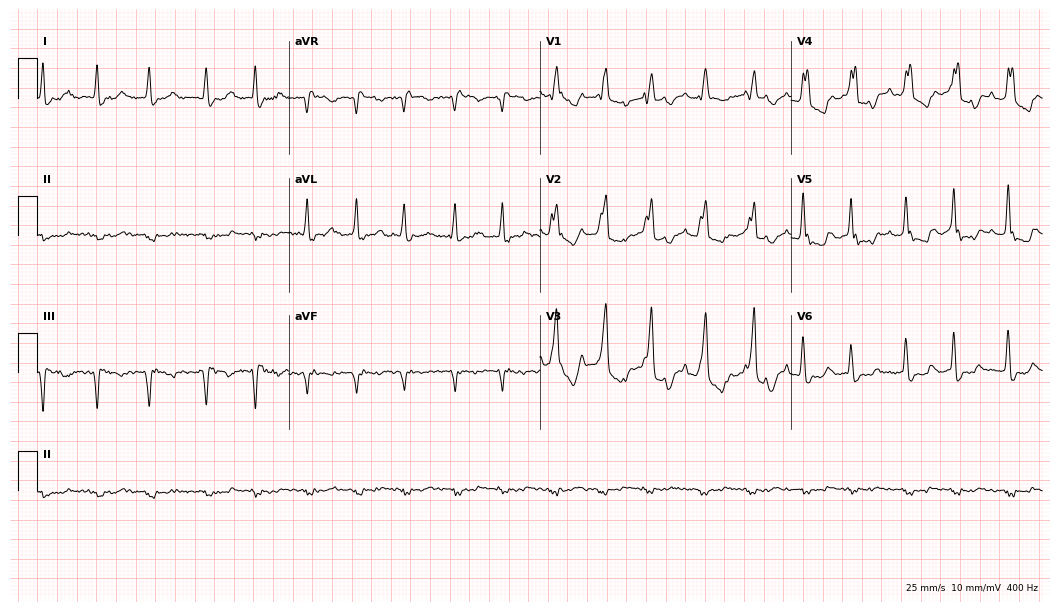
Electrocardiogram (10.2-second recording at 400 Hz), a 74-year-old male. Interpretation includes right bundle branch block, atrial fibrillation, sinus tachycardia (a sinus rate of 100 beats per minute or more).